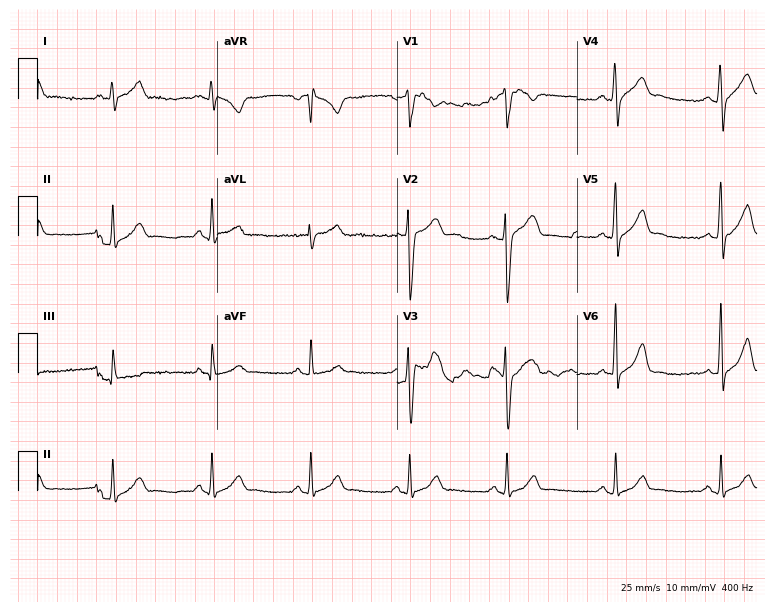
ECG (7.3-second recording at 400 Hz) — a male patient, 34 years old. Screened for six findings — first-degree AV block, right bundle branch block (RBBB), left bundle branch block (LBBB), sinus bradycardia, atrial fibrillation (AF), sinus tachycardia — none is recorded.